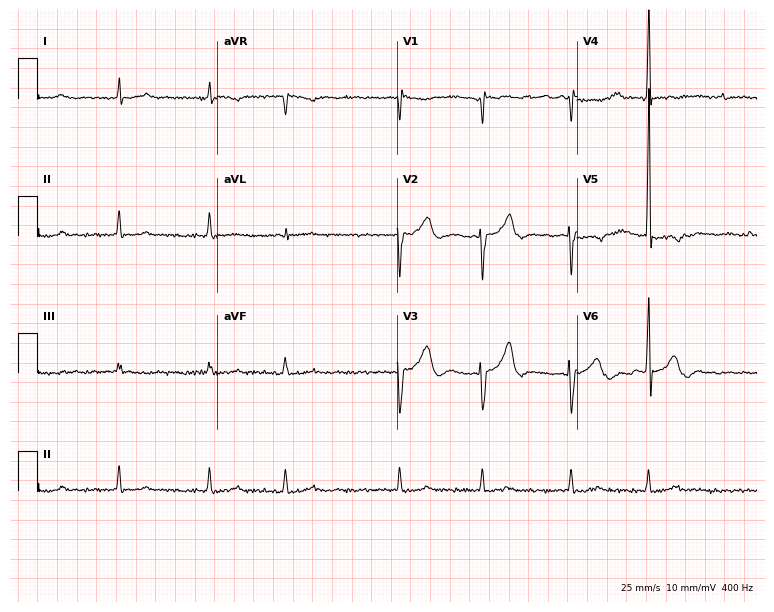
ECG (7.3-second recording at 400 Hz) — an 84-year-old woman. Findings include atrial fibrillation (AF).